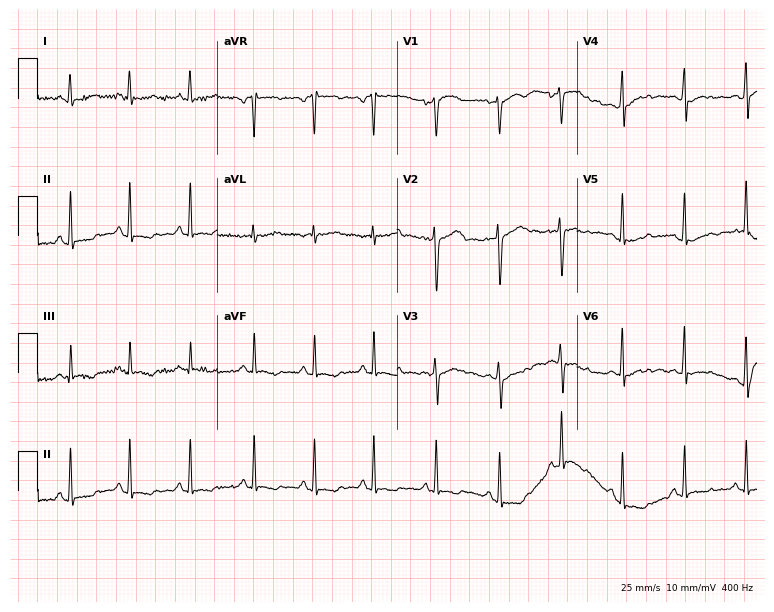
ECG (7.3-second recording at 400 Hz) — a 21-year-old female. Screened for six findings — first-degree AV block, right bundle branch block (RBBB), left bundle branch block (LBBB), sinus bradycardia, atrial fibrillation (AF), sinus tachycardia — none is recorded. Only these six findings were labelled.